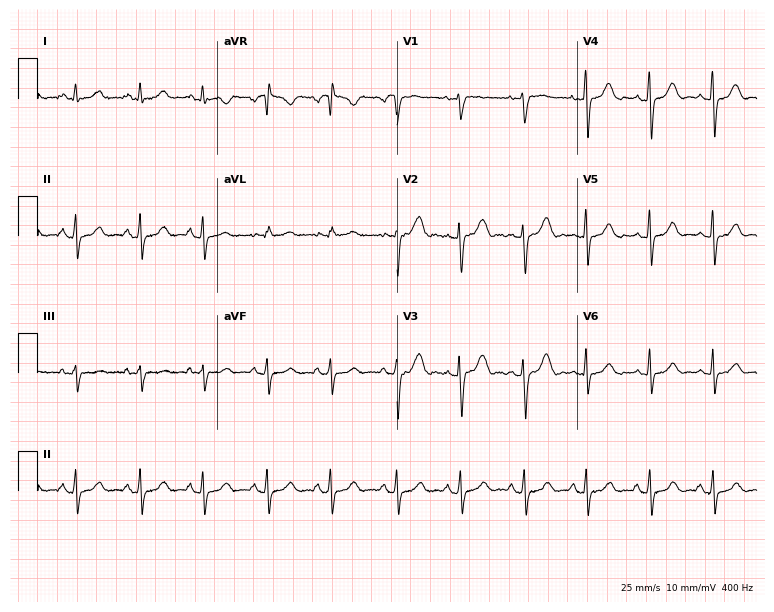
12-lead ECG from a 22-year-old female. No first-degree AV block, right bundle branch block, left bundle branch block, sinus bradycardia, atrial fibrillation or sinus tachycardia recorded for this tracing.